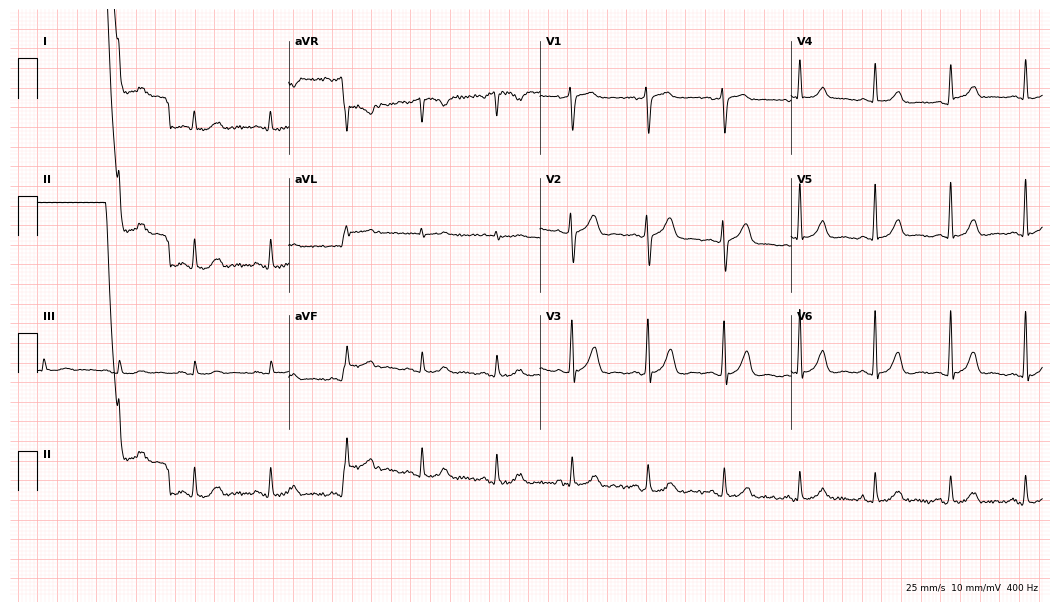
12-lead ECG from a woman, 58 years old (10.2-second recording at 400 Hz). Recorded interpretation: within normal limits.